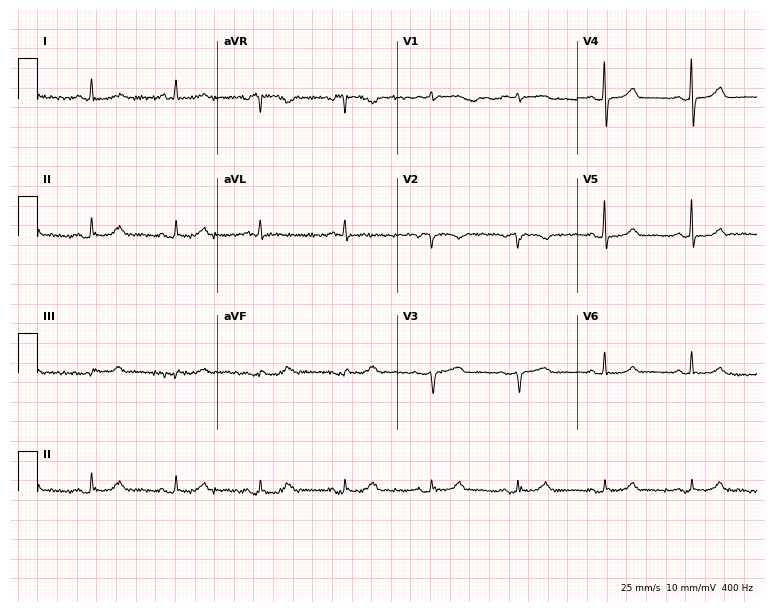
12-lead ECG from a 62-year-old female. Screened for six findings — first-degree AV block, right bundle branch block, left bundle branch block, sinus bradycardia, atrial fibrillation, sinus tachycardia — none is recorded.